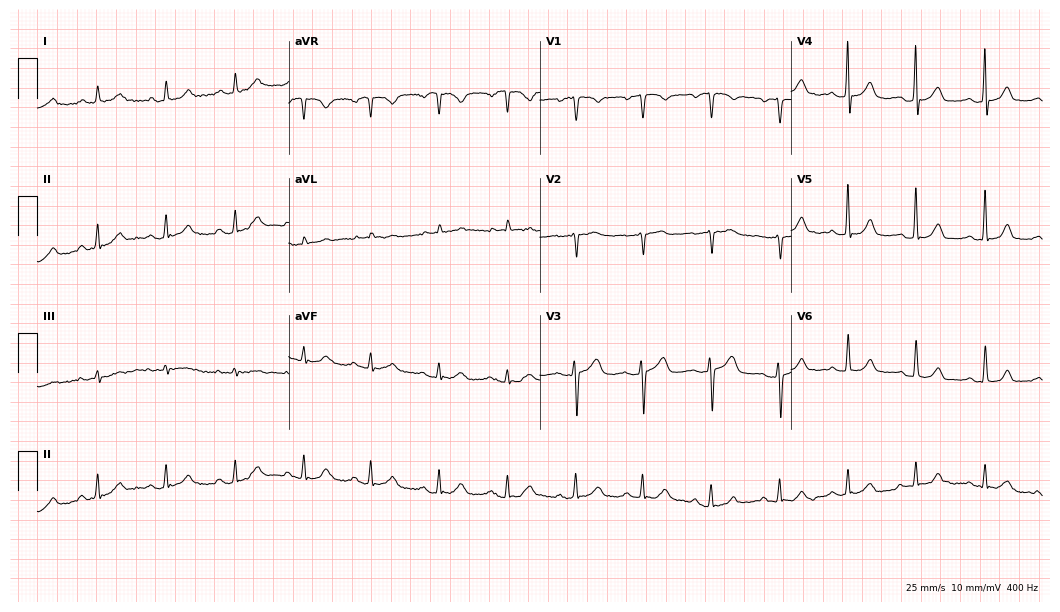
12-lead ECG from a 60-year-old woman. Recorded interpretation: within normal limits.